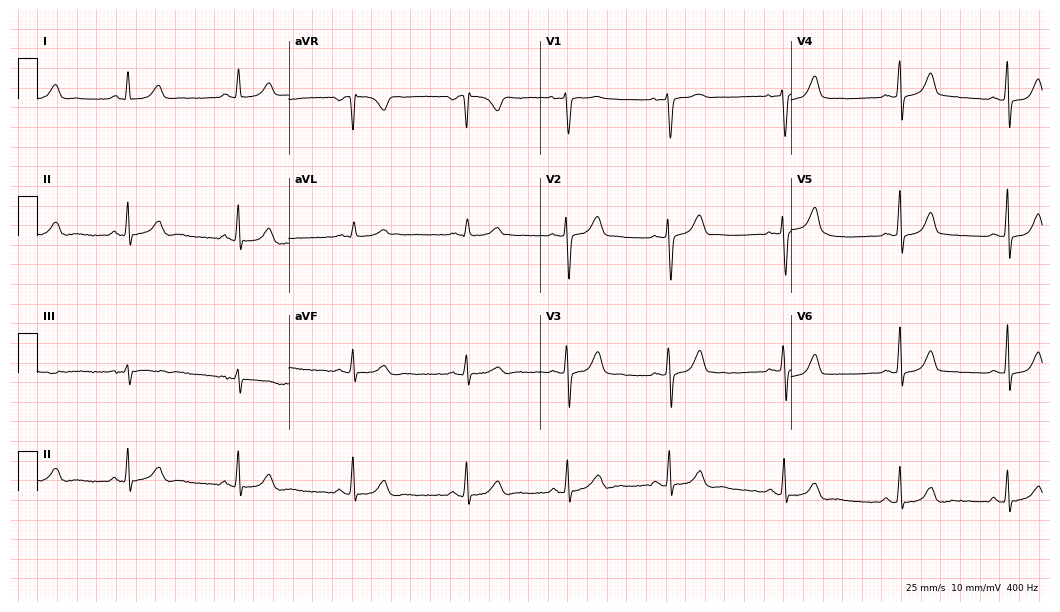
12-lead ECG from a 36-year-old female patient. Recorded interpretation: within normal limits.